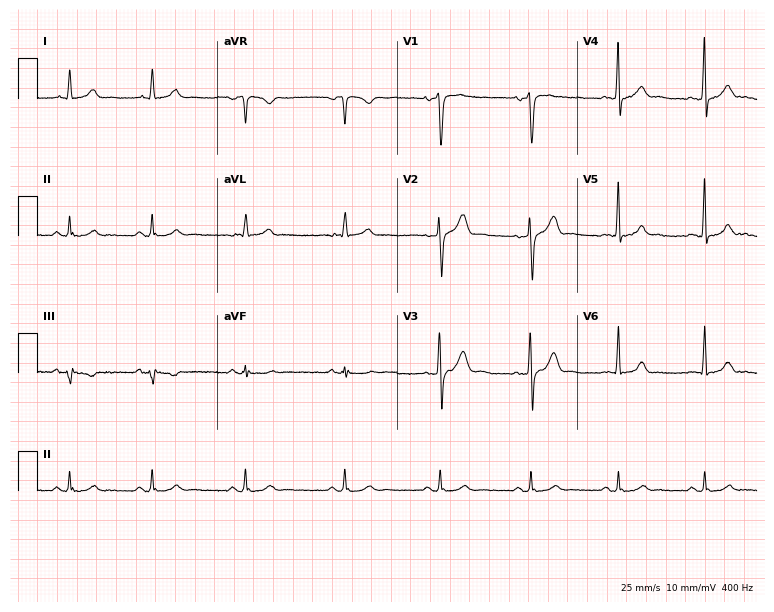
Electrocardiogram, a 42-year-old male. Overall reading on record: normal ECG.